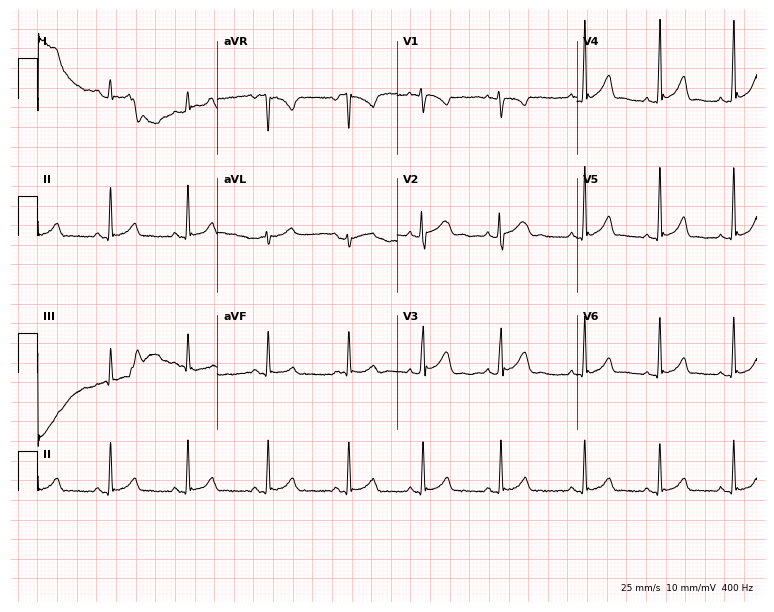
12-lead ECG (7.3-second recording at 400 Hz) from a female patient, 24 years old. Labelled as a normal ECG.